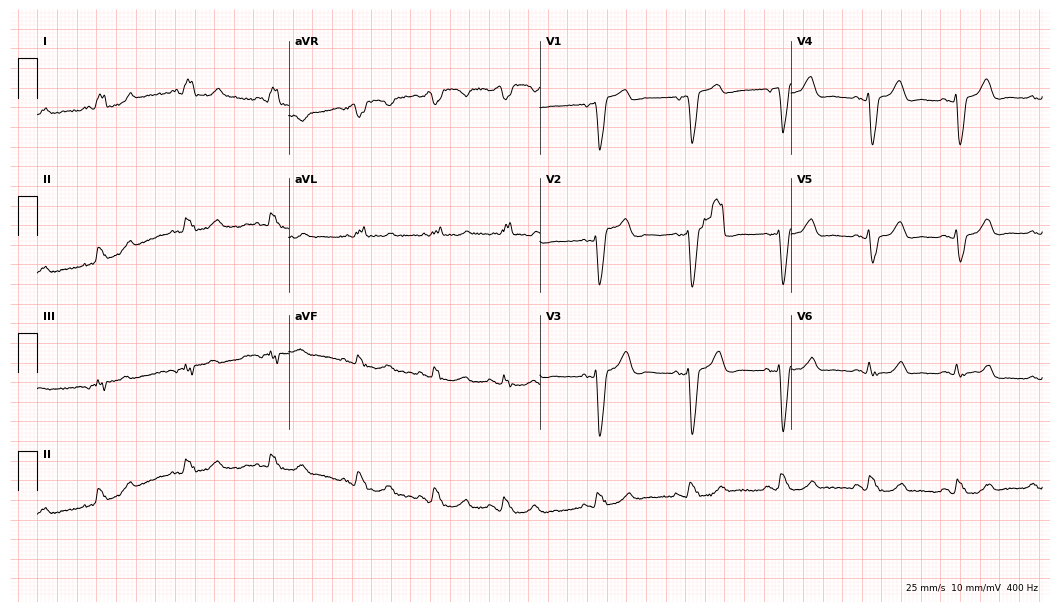
Electrocardiogram, a female patient, 85 years old. Interpretation includes left bundle branch block.